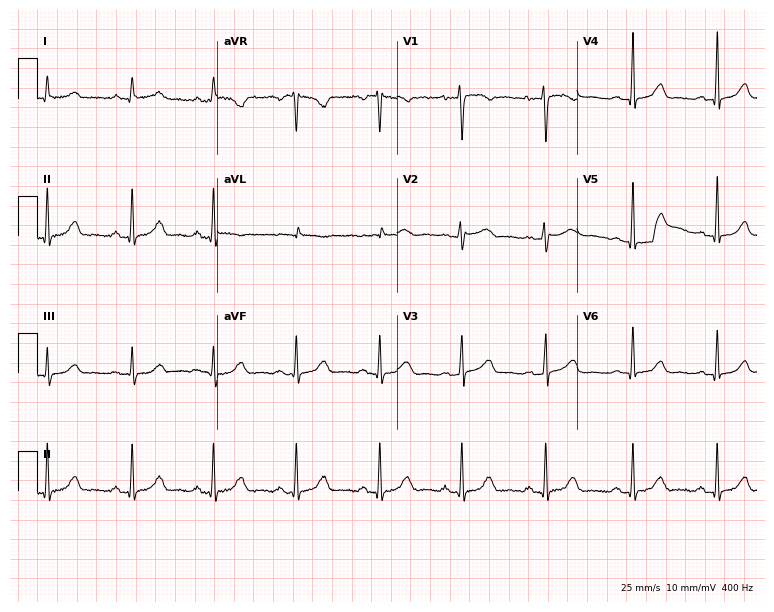
Resting 12-lead electrocardiogram (7.3-second recording at 400 Hz). Patient: a 41-year-old woman. Read as a normal ECG.